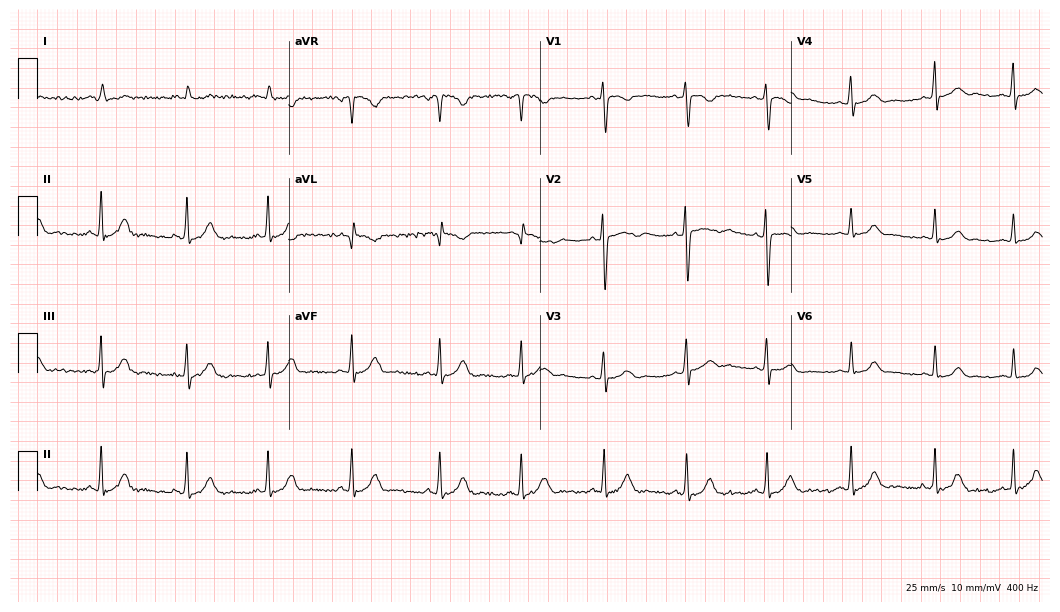
Standard 12-lead ECG recorded from a woman, 22 years old. Read as a normal ECG.